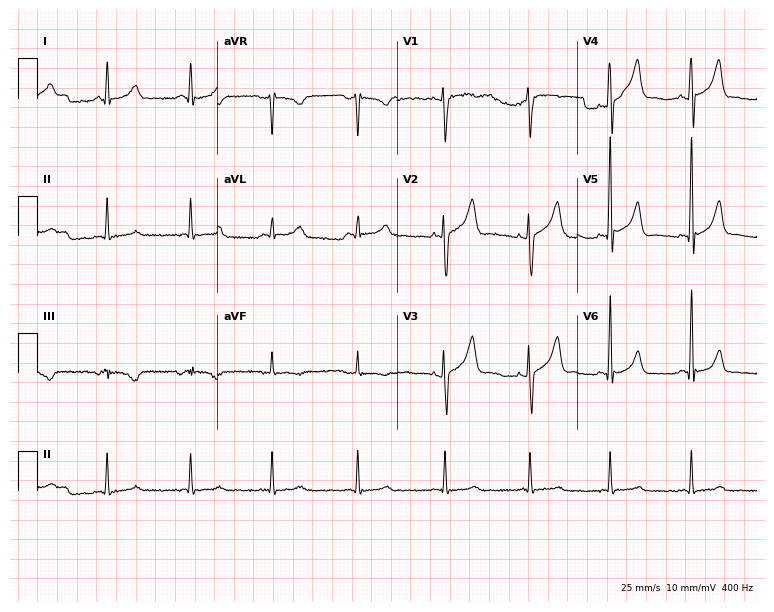
12-lead ECG (7.3-second recording at 400 Hz) from a male patient, 34 years old. Labelled as a normal ECG.